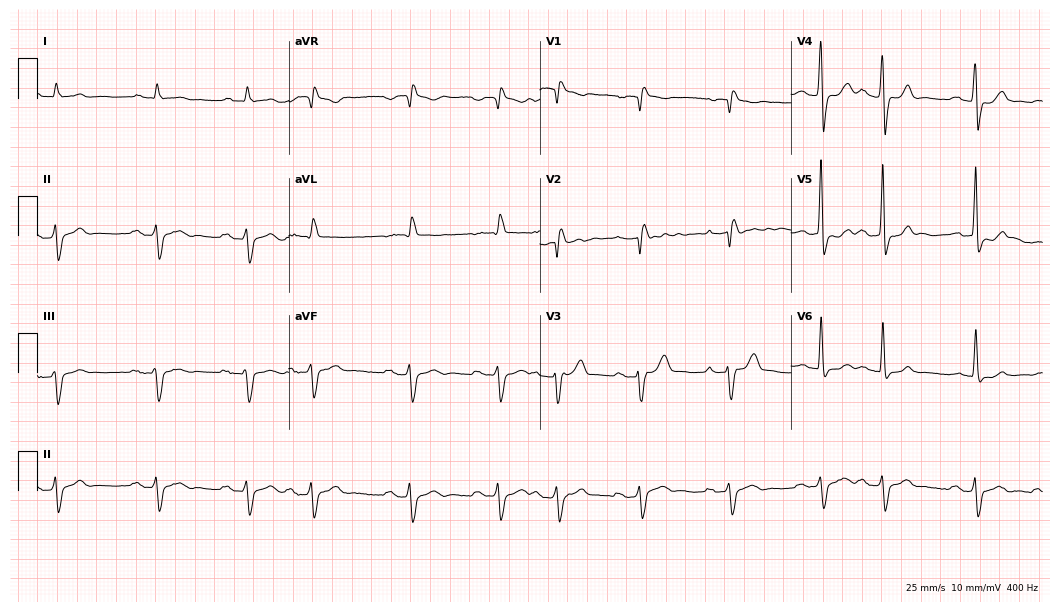
Resting 12-lead electrocardiogram. Patient: a male, 73 years old. The tracing shows right bundle branch block.